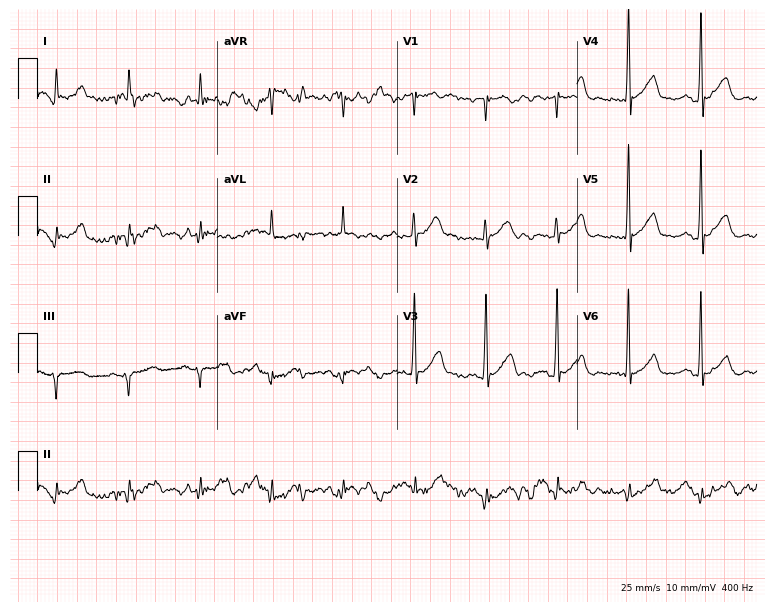
12-lead ECG from a male, 56 years old (7.3-second recording at 400 Hz). No first-degree AV block, right bundle branch block, left bundle branch block, sinus bradycardia, atrial fibrillation or sinus tachycardia recorded for this tracing.